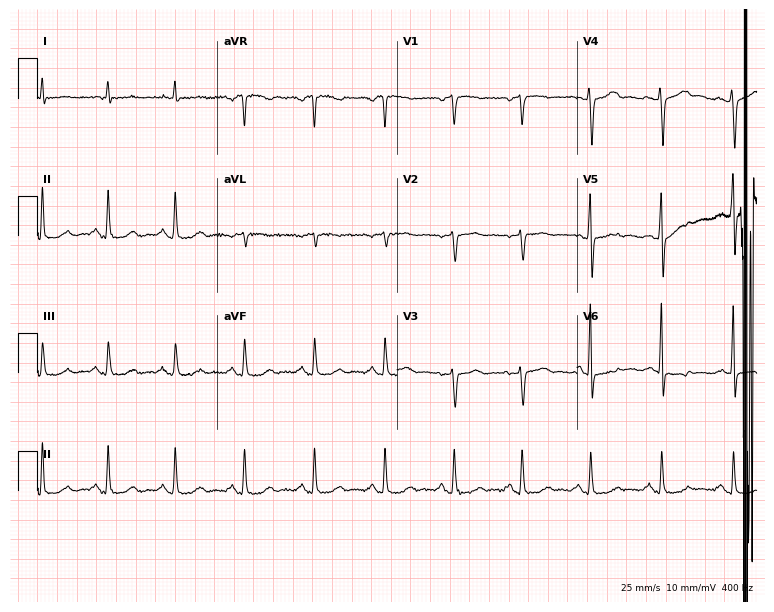
12-lead ECG from a female, 71 years old. Screened for six findings — first-degree AV block, right bundle branch block, left bundle branch block, sinus bradycardia, atrial fibrillation, sinus tachycardia — none is recorded.